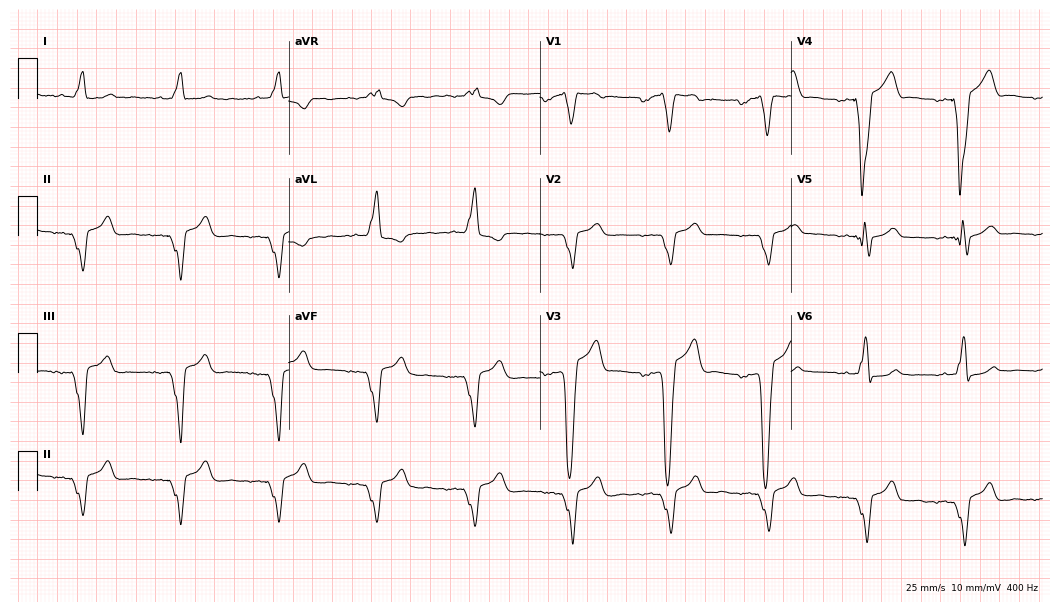
12-lead ECG from a 63-year-old male patient. Findings include left bundle branch block.